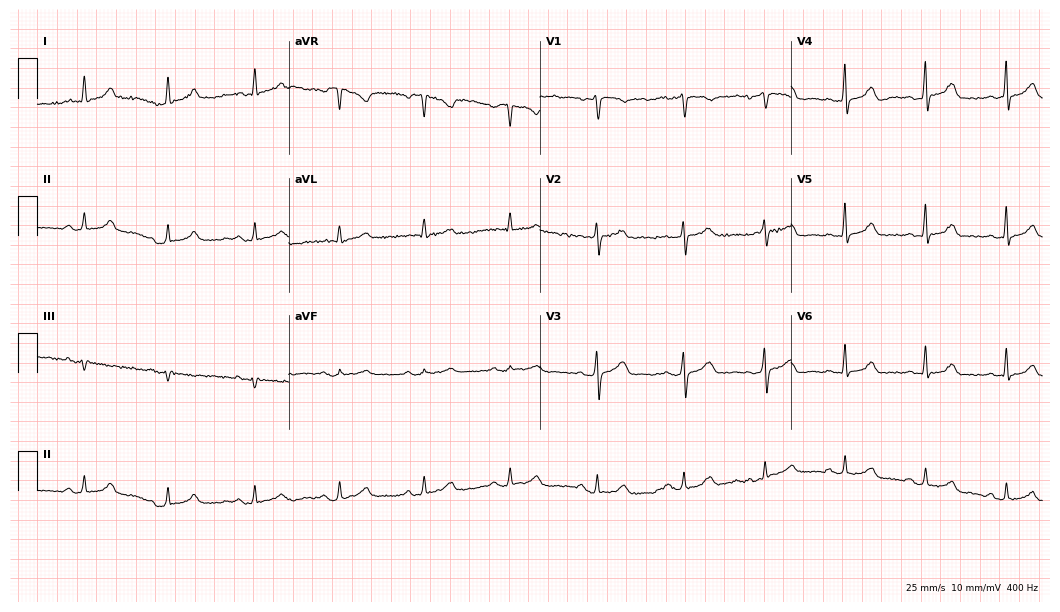
Electrocardiogram, a female patient, 58 years old. Overall reading on record: normal ECG.